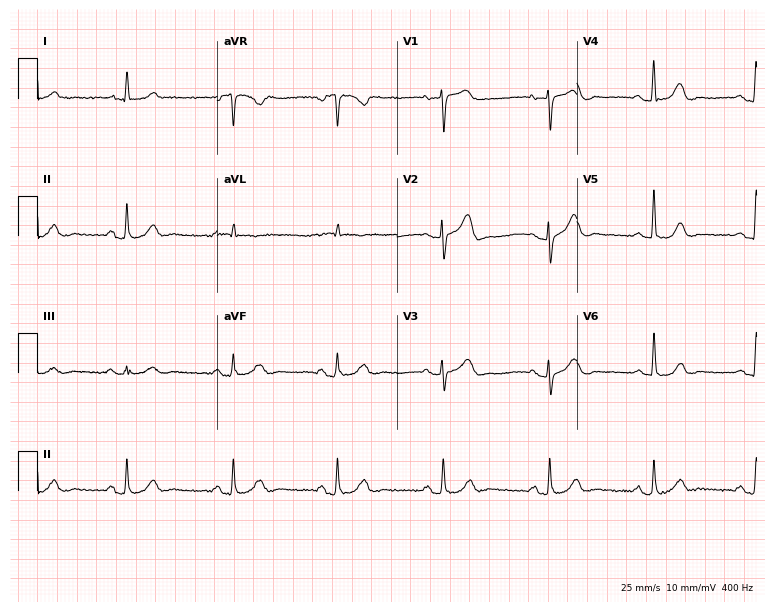
Electrocardiogram, a 78-year-old female. Overall reading on record: normal ECG.